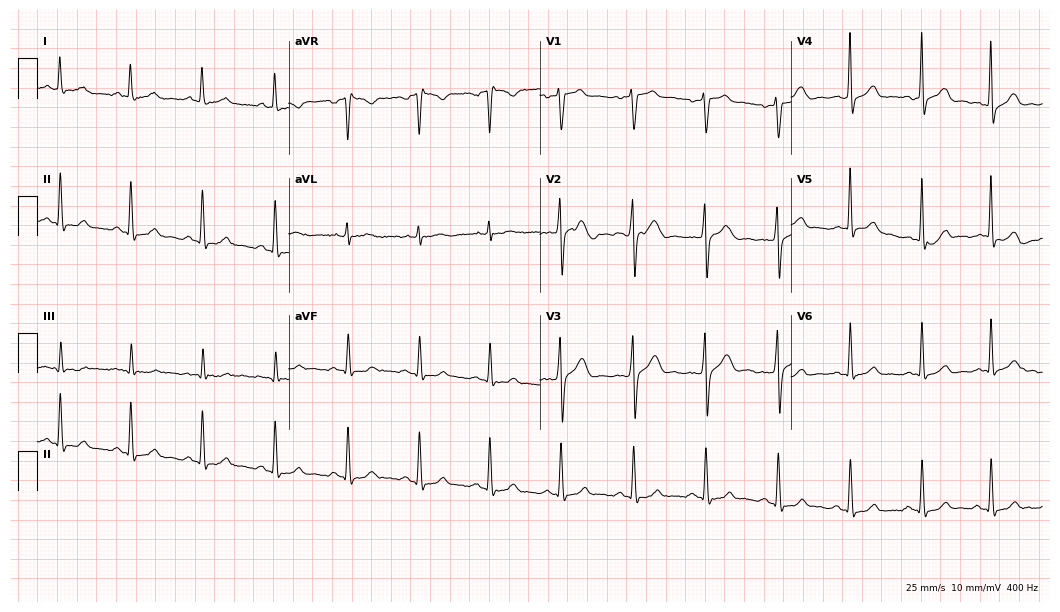
12-lead ECG from a male, 33 years old. Screened for six findings — first-degree AV block, right bundle branch block (RBBB), left bundle branch block (LBBB), sinus bradycardia, atrial fibrillation (AF), sinus tachycardia — none is recorded.